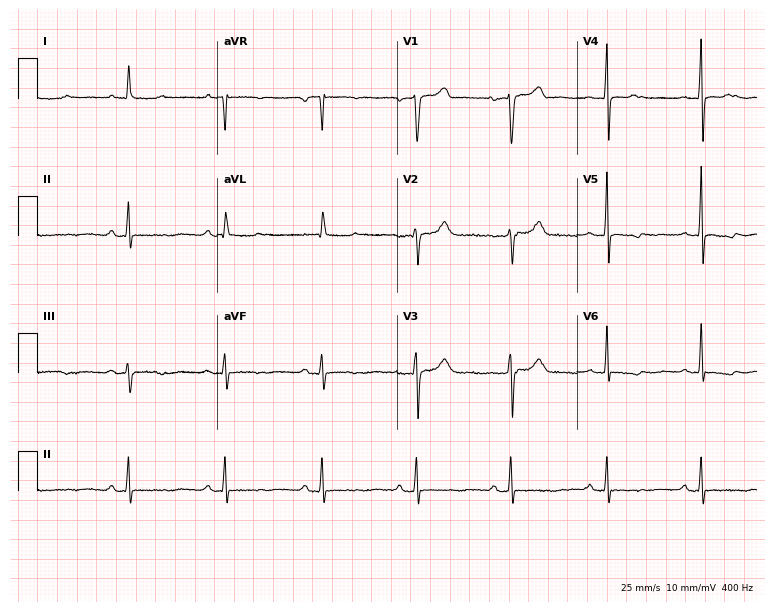
Standard 12-lead ECG recorded from a 53-year-old female patient (7.3-second recording at 400 Hz). None of these six findings is recorded: first-degree AV block, right bundle branch block, left bundle branch block, sinus bradycardia, atrial fibrillation, sinus tachycardia.